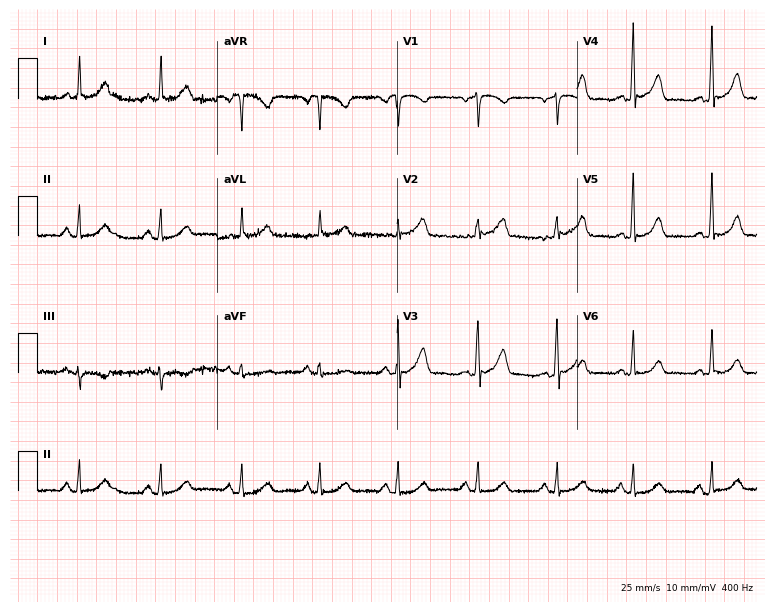
12-lead ECG from a 51-year-old female (7.3-second recording at 400 Hz). Recorded interpretation: within normal limits.